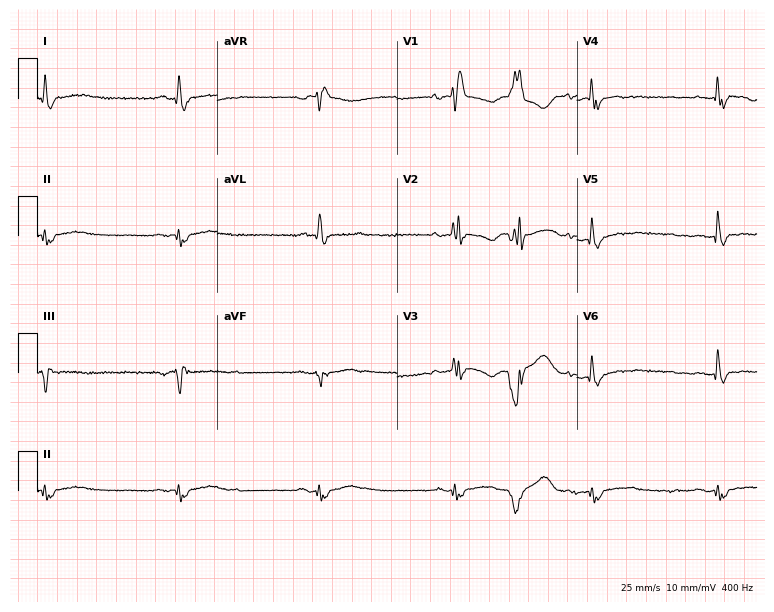
Resting 12-lead electrocardiogram (7.3-second recording at 400 Hz). Patient: a 64-year-old male. The tracing shows right bundle branch block.